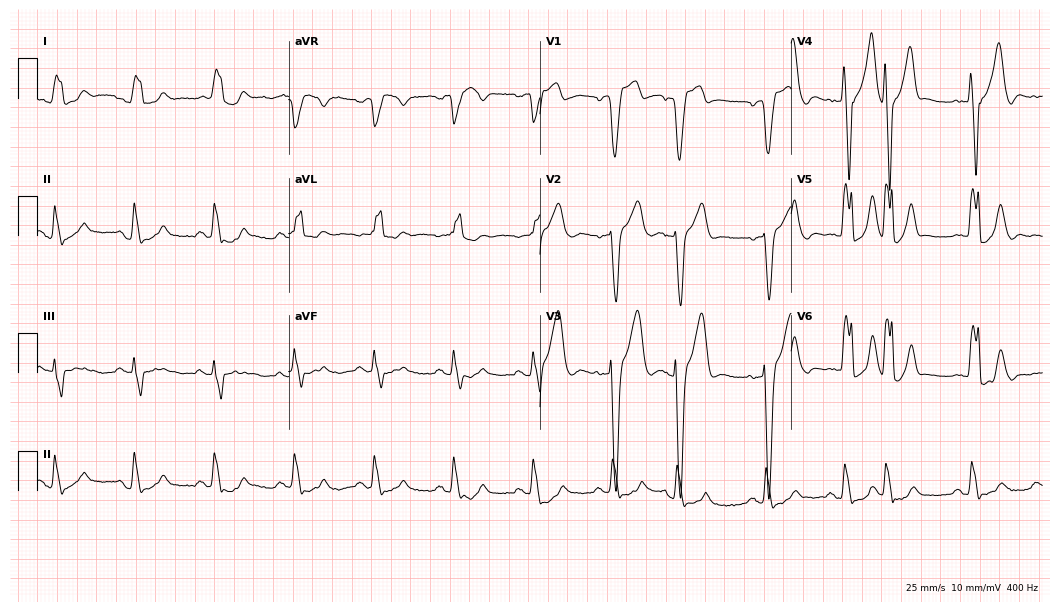
12-lead ECG from a male, 80 years old. Findings include left bundle branch block (LBBB).